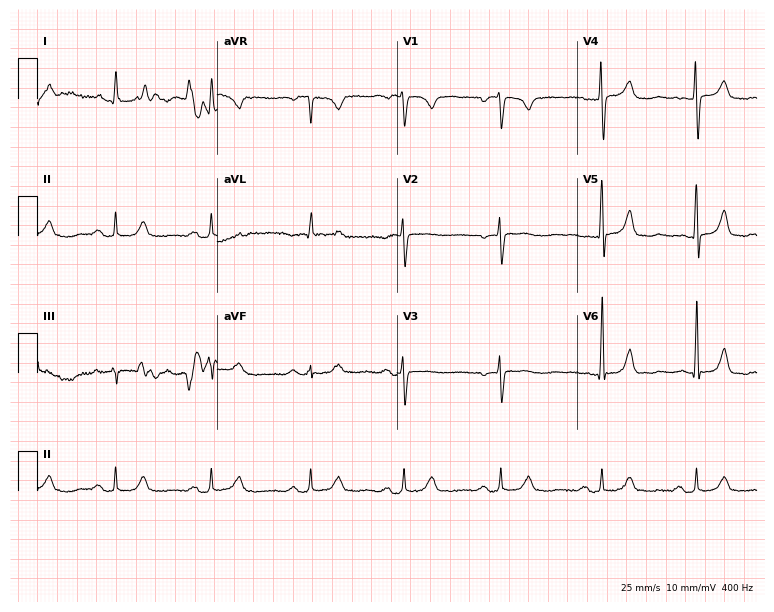
ECG (7.3-second recording at 400 Hz) — a male, 74 years old. Screened for six findings — first-degree AV block, right bundle branch block (RBBB), left bundle branch block (LBBB), sinus bradycardia, atrial fibrillation (AF), sinus tachycardia — none is recorded. Only these six findings were labelled.